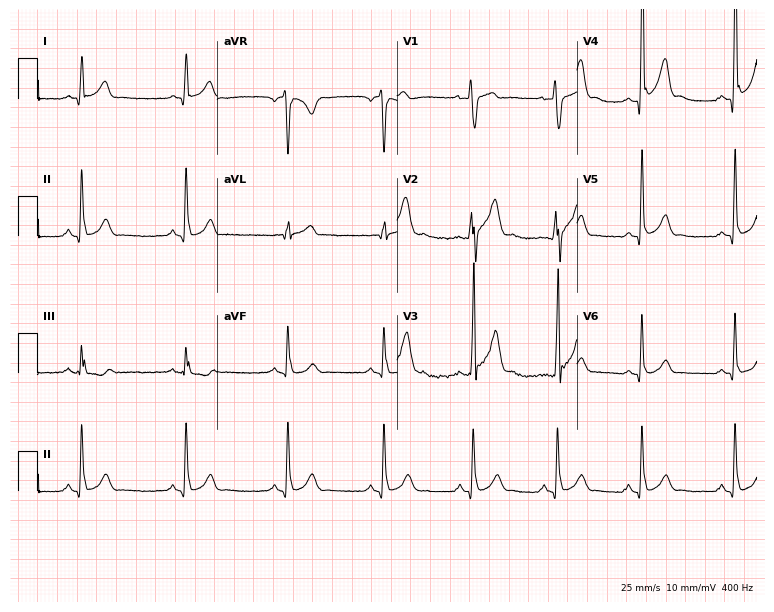
Standard 12-lead ECG recorded from an 18-year-old man. None of these six findings is recorded: first-degree AV block, right bundle branch block (RBBB), left bundle branch block (LBBB), sinus bradycardia, atrial fibrillation (AF), sinus tachycardia.